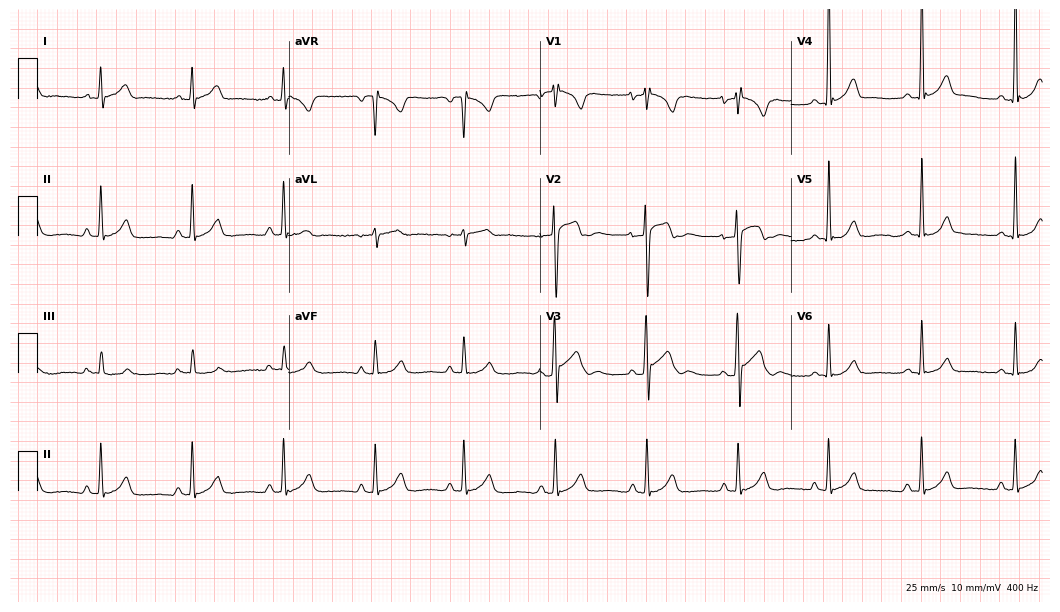
Electrocardiogram (10.2-second recording at 400 Hz), a man, 22 years old. Of the six screened findings (first-degree AV block, right bundle branch block, left bundle branch block, sinus bradycardia, atrial fibrillation, sinus tachycardia), none is recorded. Only these six findings were labelled.